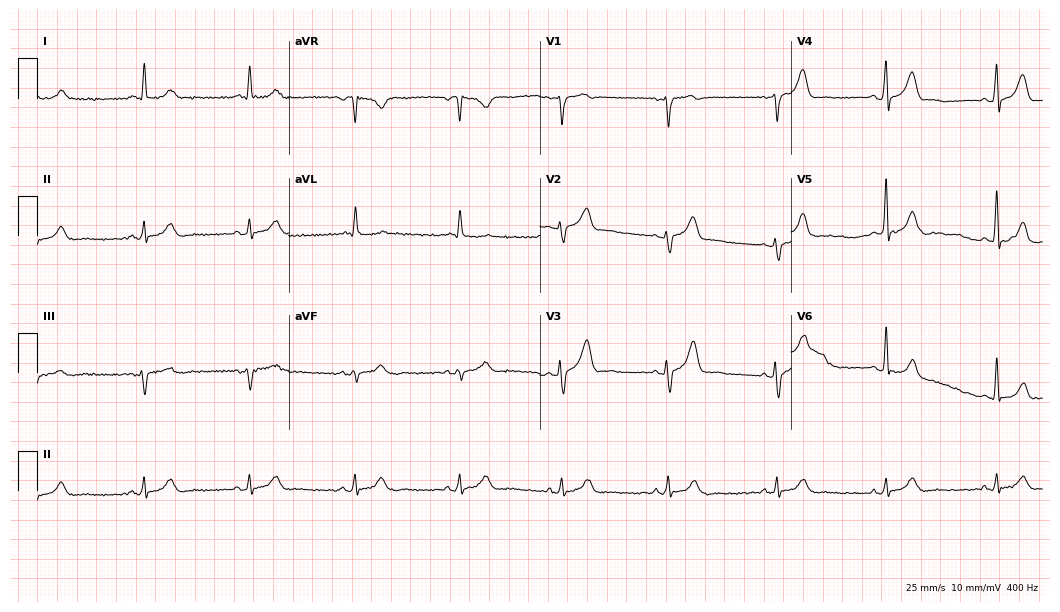
12-lead ECG from a male, 63 years old. Recorded interpretation: within normal limits.